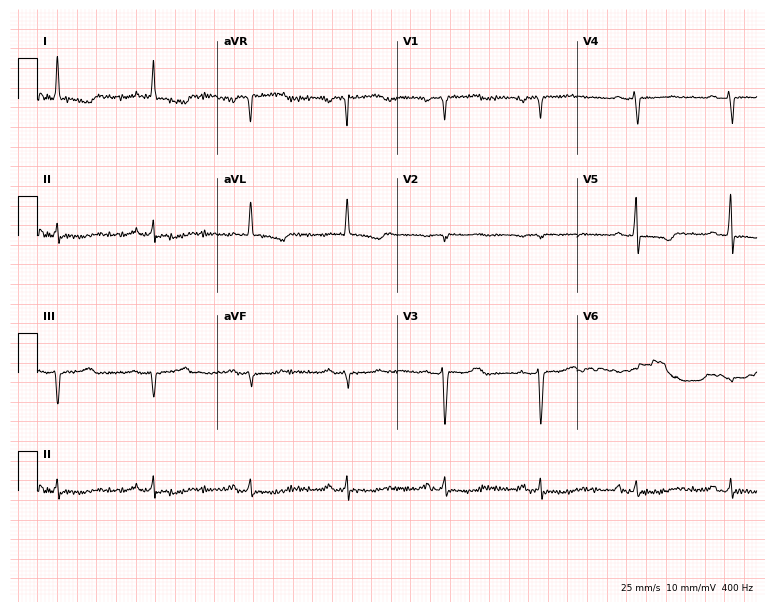
Standard 12-lead ECG recorded from an 80-year-old female. None of these six findings is recorded: first-degree AV block, right bundle branch block, left bundle branch block, sinus bradycardia, atrial fibrillation, sinus tachycardia. Findings outside these six are not listed.